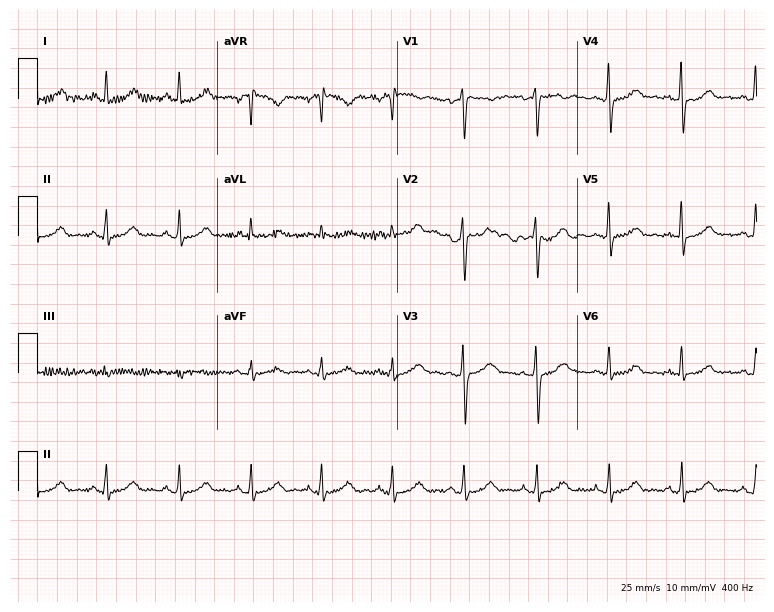
12-lead ECG from a female patient, 39 years old. Recorded interpretation: within normal limits.